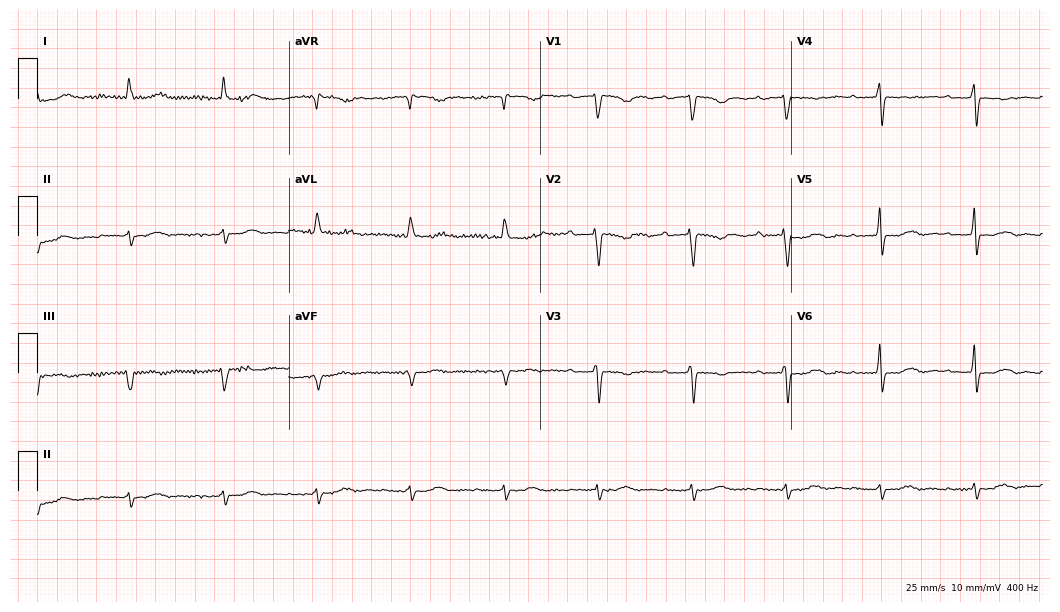
ECG — a 77-year-old woman. Screened for six findings — first-degree AV block, right bundle branch block, left bundle branch block, sinus bradycardia, atrial fibrillation, sinus tachycardia — none is recorded. Findings outside these six are not listed.